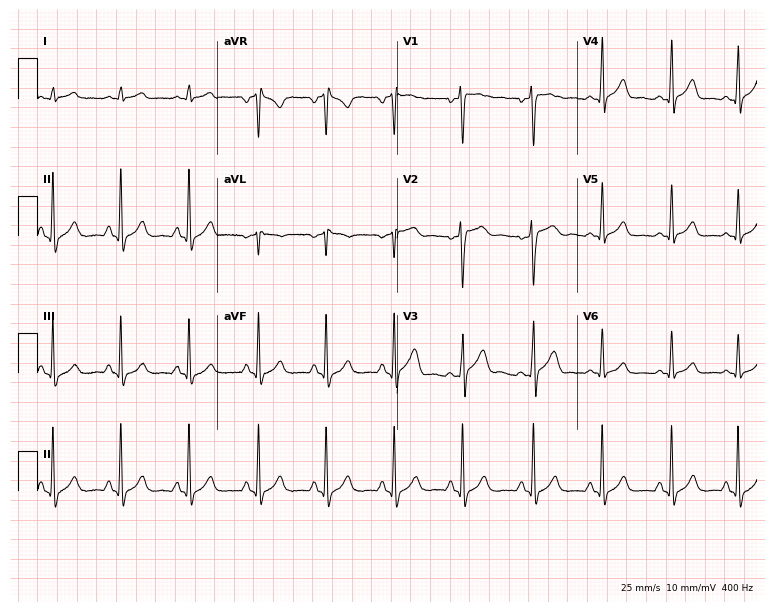
Electrocardiogram, a 19-year-old male patient. Overall reading on record: normal ECG.